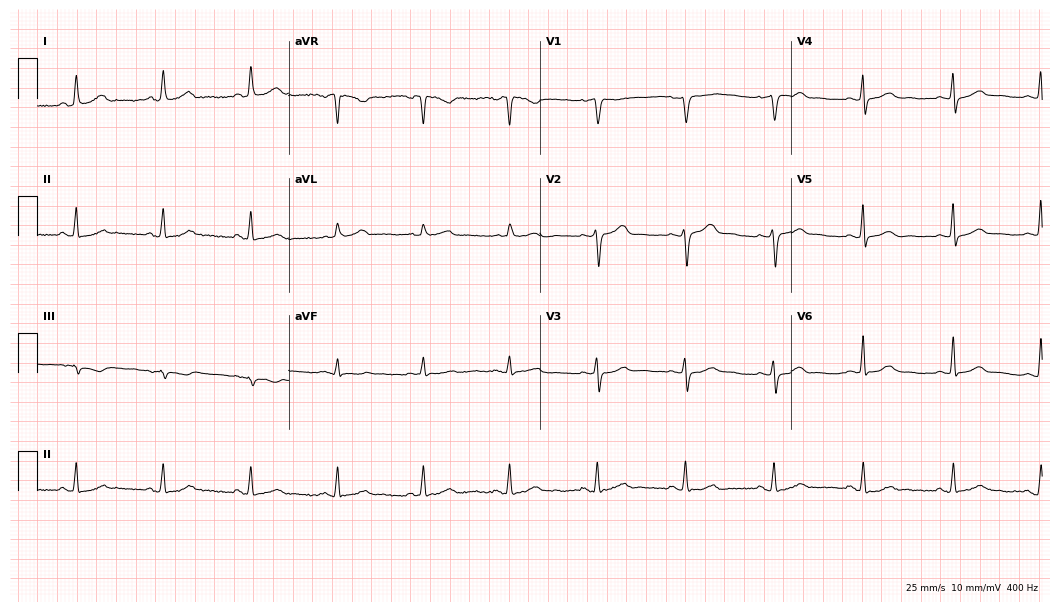
Standard 12-lead ECG recorded from a woman, 51 years old (10.2-second recording at 400 Hz). Read as a normal ECG.